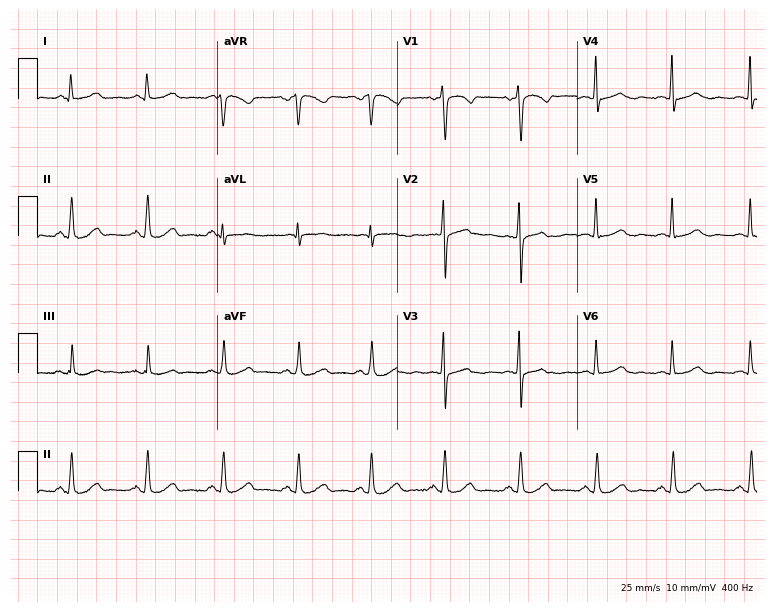
12-lead ECG from a female, 44 years old (7.3-second recording at 400 Hz). No first-degree AV block, right bundle branch block (RBBB), left bundle branch block (LBBB), sinus bradycardia, atrial fibrillation (AF) or sinus tachycardia recorded for this tracing. Findings outside these six are not listed.